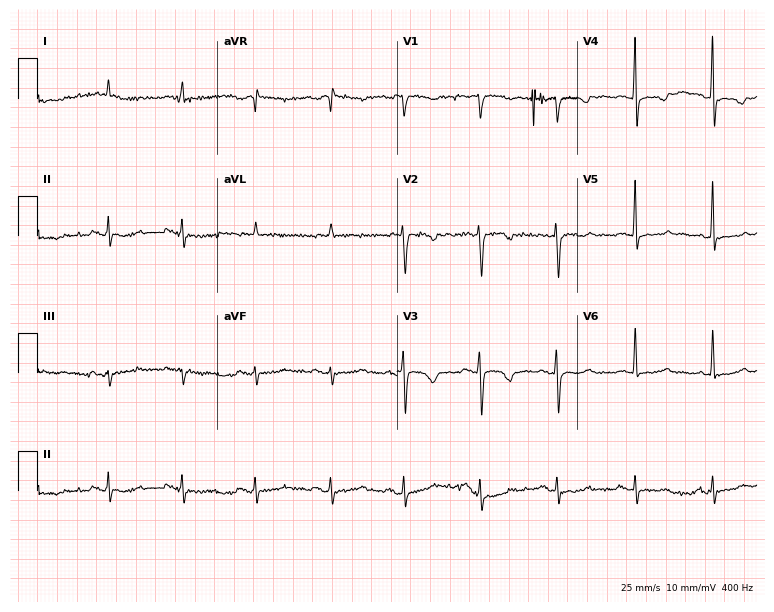
ECG — a 68-year-old woman. Screened for six findings — first-degree AV block, right bundle branch block, left bundle branch block, sinus bradycardia, atrial fibrillation, sinus tachycardia — none is recorded.